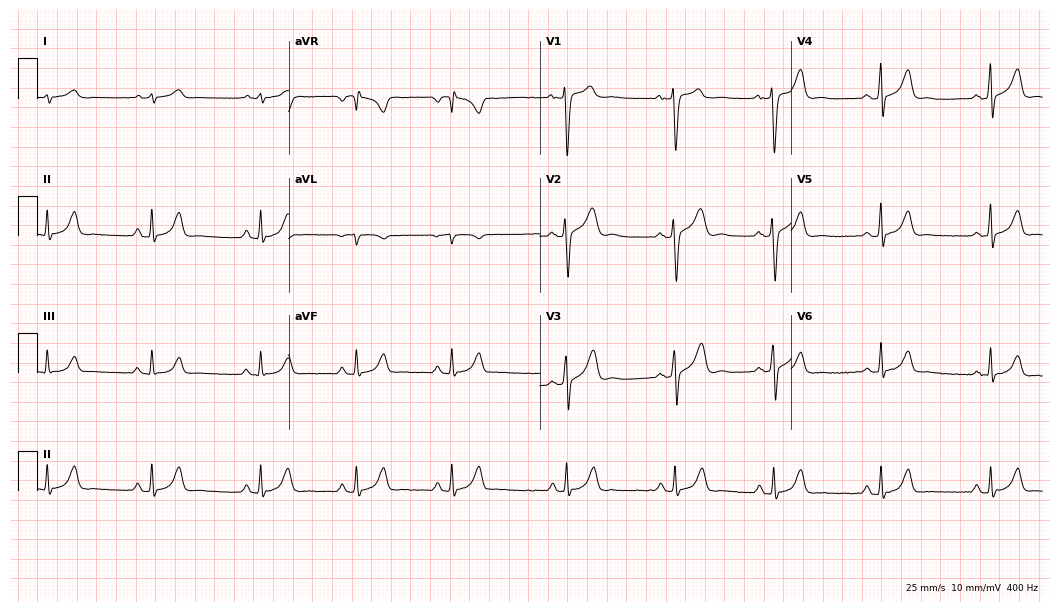
Resting 12-lead electrocardiogram. Patient: a 21-year-old male. Read as a normal ECG.